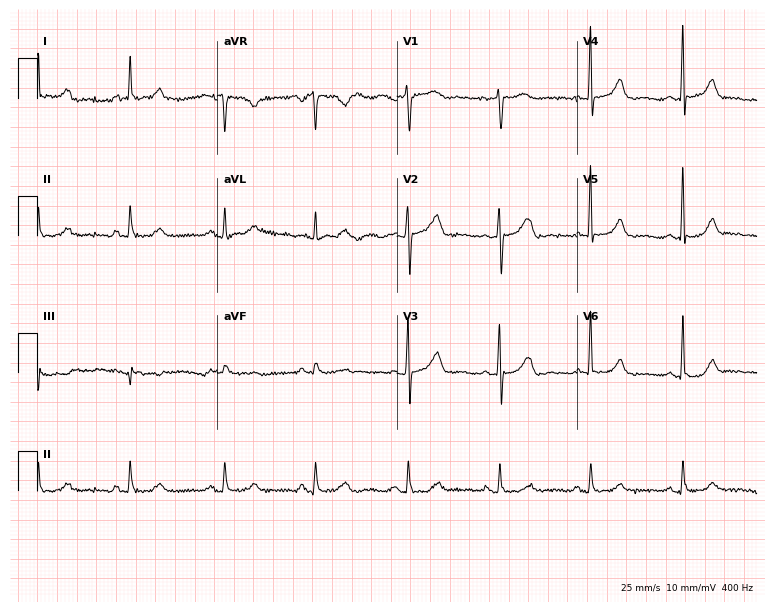
ECG — a female patient, 80 years old. Labelled as a normal ECG.